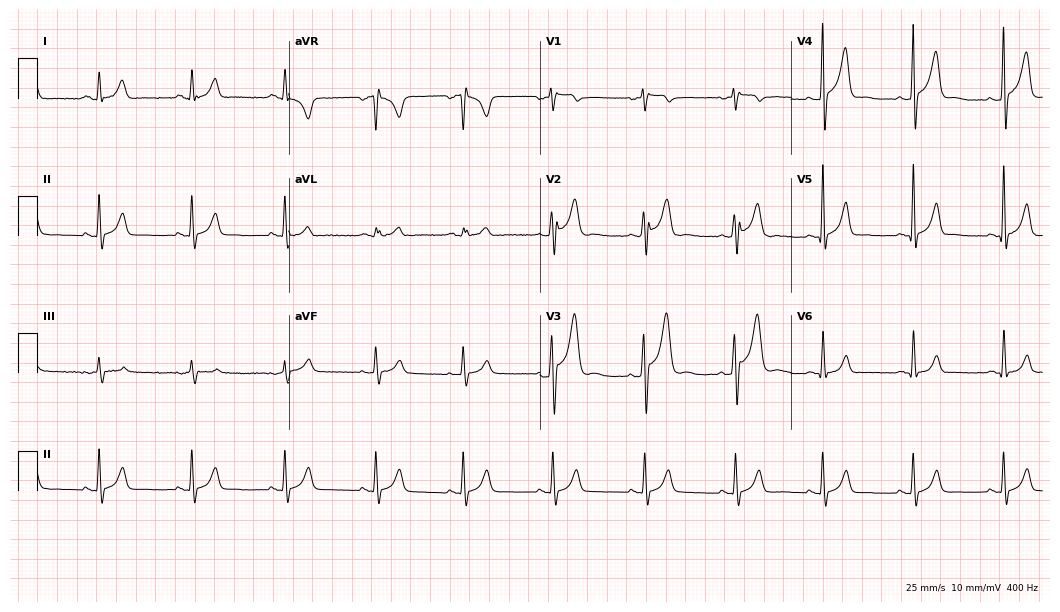
Electrocardiogram (10.2-second recording at 400 Hz), a male, 23 years old. Of the six screened findings (first-degree AV block, right bundle branch block (RBBB), left bundle branch block (LBBB), sinus bradycardia, atrial fibrillation (AF), sinus tachycardia), none is recorded.